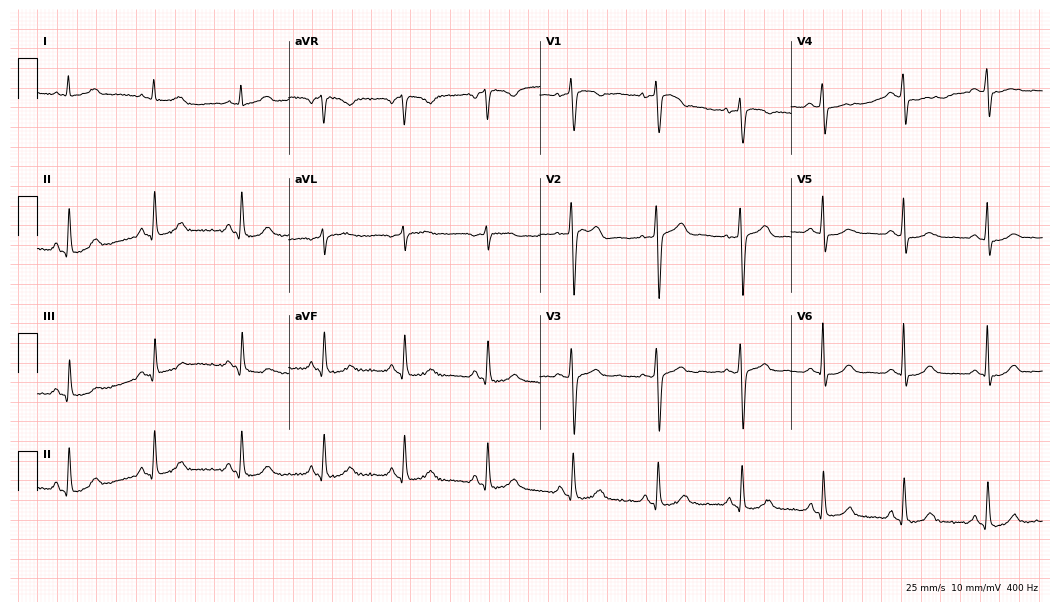
Electrocardiogram (10.2-second recording at 400 Hz), a 50-year-old female. Overall reading on record: normal ECG.